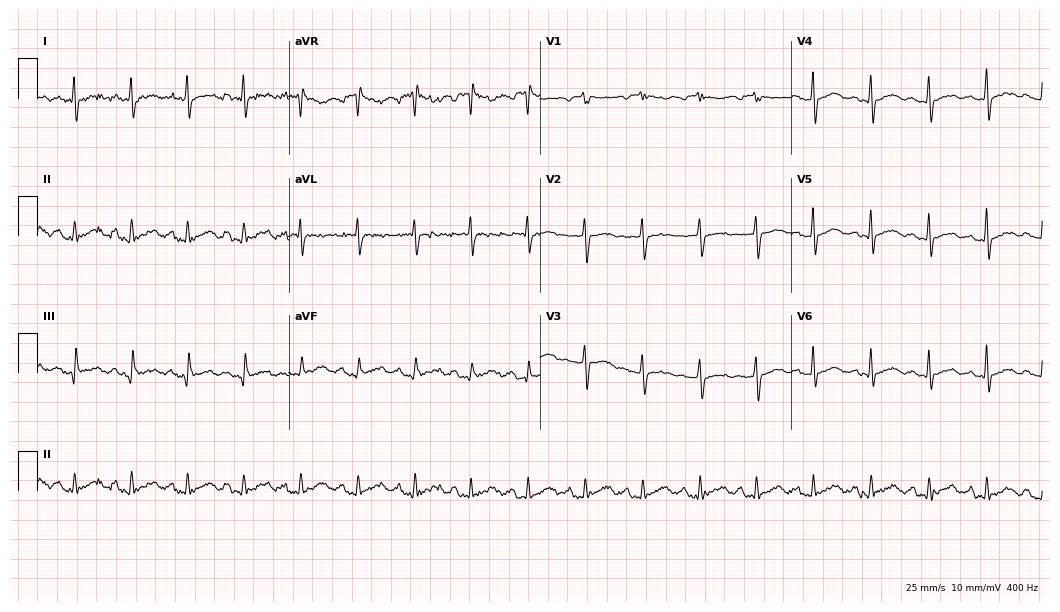
Standard 12-lead ECG recorded from a 60-year-old female (10.2-second recording at 400 Hz). The tracing shows sinus tachycardia (a sinus rate of 100 beats per minute or more).